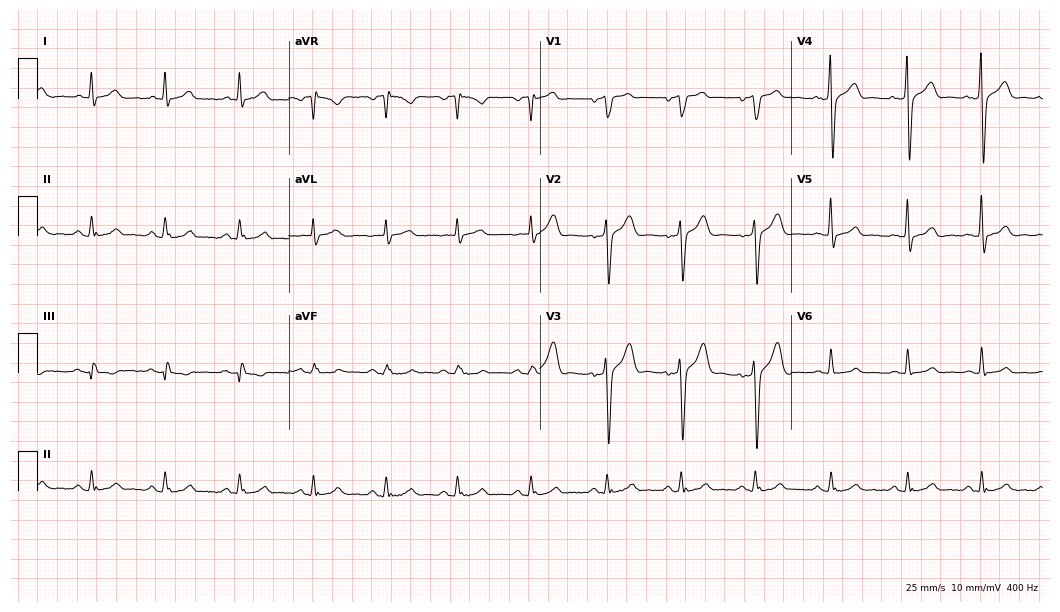
Electrocardiogram, a man, 43 years old. Overall reading on record: normal ECG.